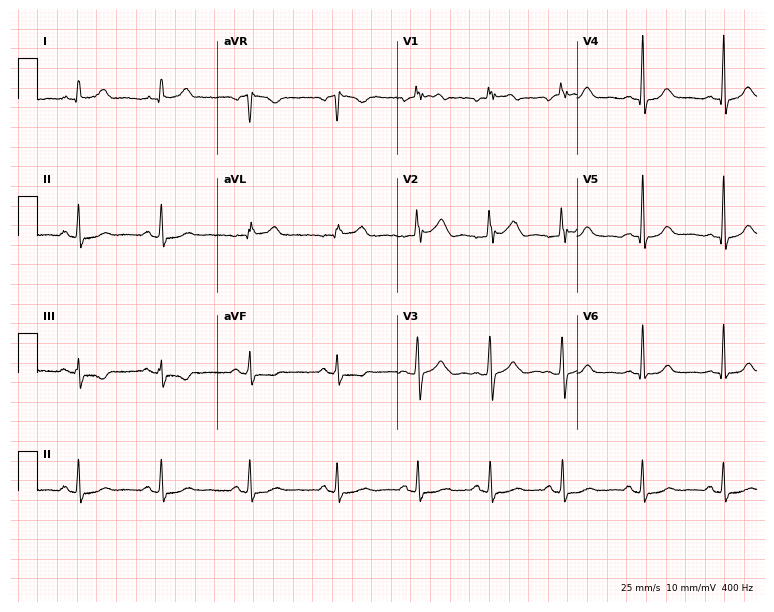
Electrocardiogram, a woman, 45 years old. Of the six screened findings (first-degree AV block, right bundle branch block, left bundle branch block, sinus bradycardia, atrial fibrillation, sinus tachycardia), none is recorded.